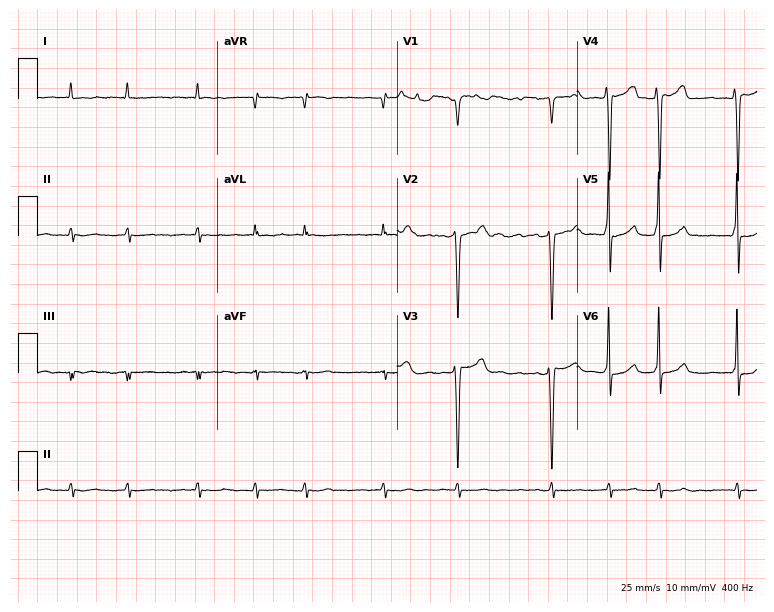
Electrocardiogram (7.3-second recording at 400 Hz), a man, 85 years old. Interpretation includes atrial fibrillation (AF).